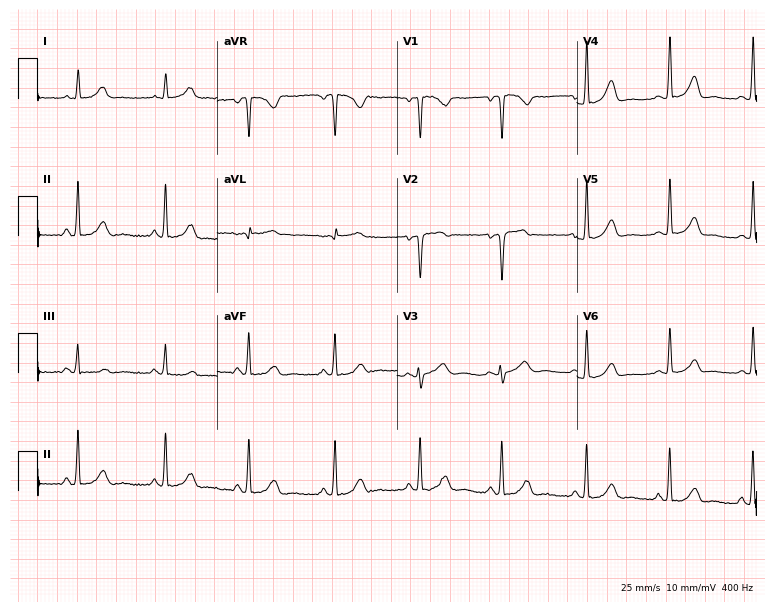
ECG (7.3-second recording at 400 Hz) — a 44-year-old woman. Screened for six findings — first-degree AV block, right bundle branch block (RBBB), left bundle branch block (LBBB), sinus bradycardia, atrial fibrillation (AF), sinus tachycardia — none is recorded. Other findings, if any, are not listed.